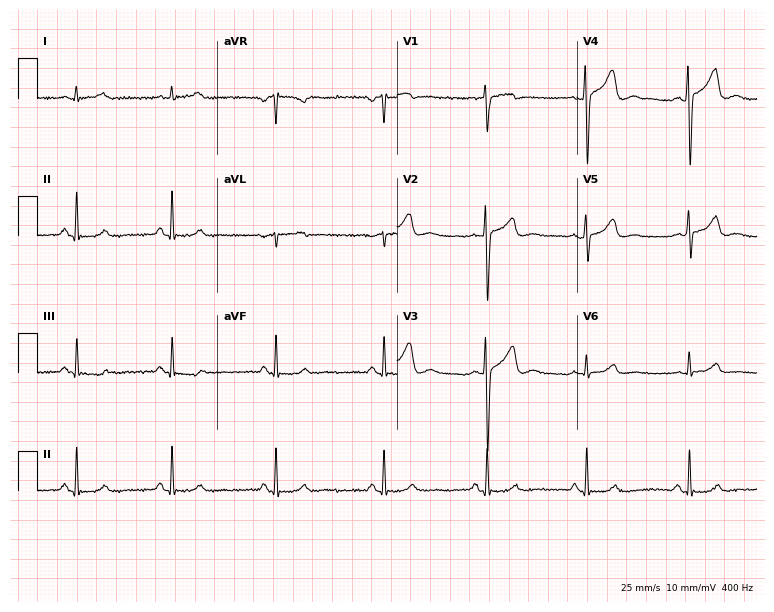
ECG (7.3-second recording at 400 Hz) — a 33-year-old male patient. Screened for six findings — first-degree AV block, right bundle branch block, left bundle branch block, sinus bradycardia, atrial fibrillation, sinus tachycardia — none is recorded. Findings outside these six are not listed.